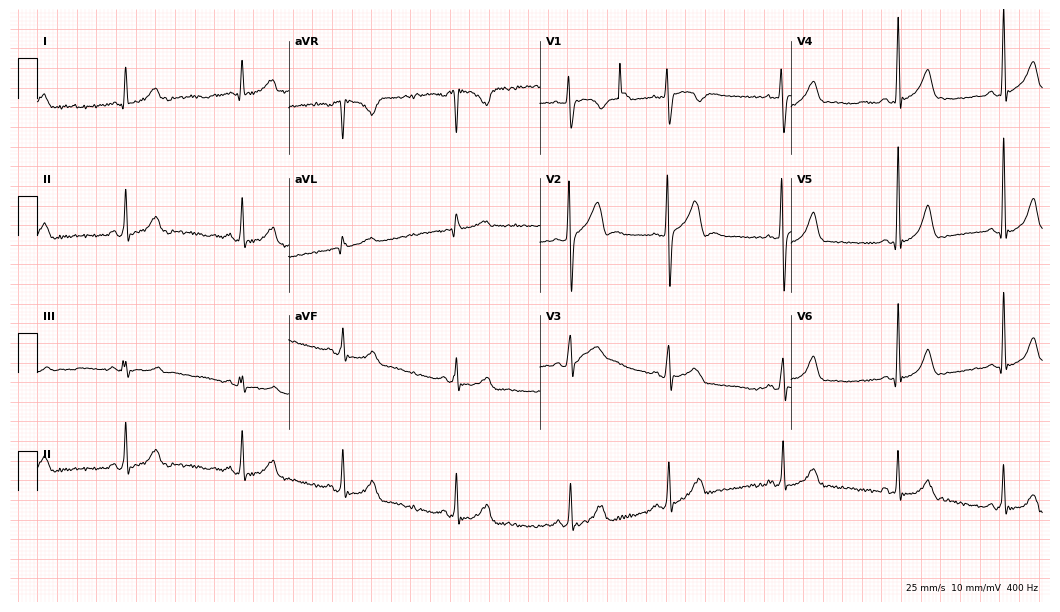
12-lead ECG from a 20-year-old male patient (10.2-second recording at 400 Hz). Recorded interpretation: within normal limits.